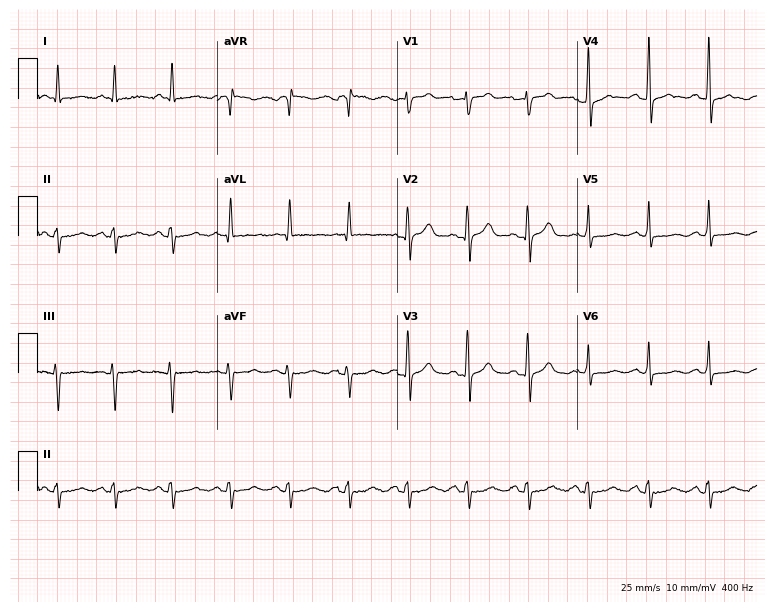
Electrocardiogram, a 79-year-old man. Of the six screened findings (first-degree AV block, right bundle branch block, left bundle branch block, sinus bradycardia, atrial fibrillation, sinus tachycardia), none is recorded. Only these six findings were labelled.